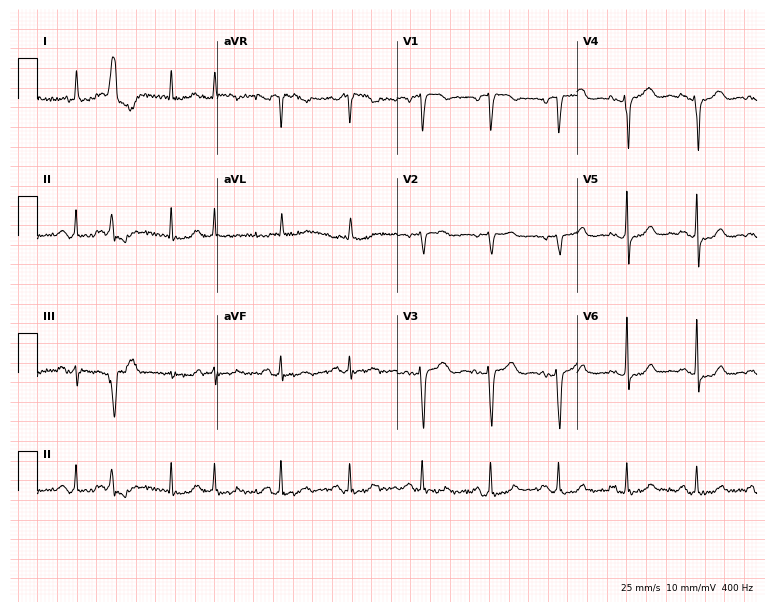
Standard 12-lead ECG recorded from a 79-year-old female (7.3-second recording at 400 Hz). None of these six findings is recorded: first-degree AV block, right bundle branch block, left bundle branch block, sinus bradycardia, atrial fibrillation, sinus tachycardia.